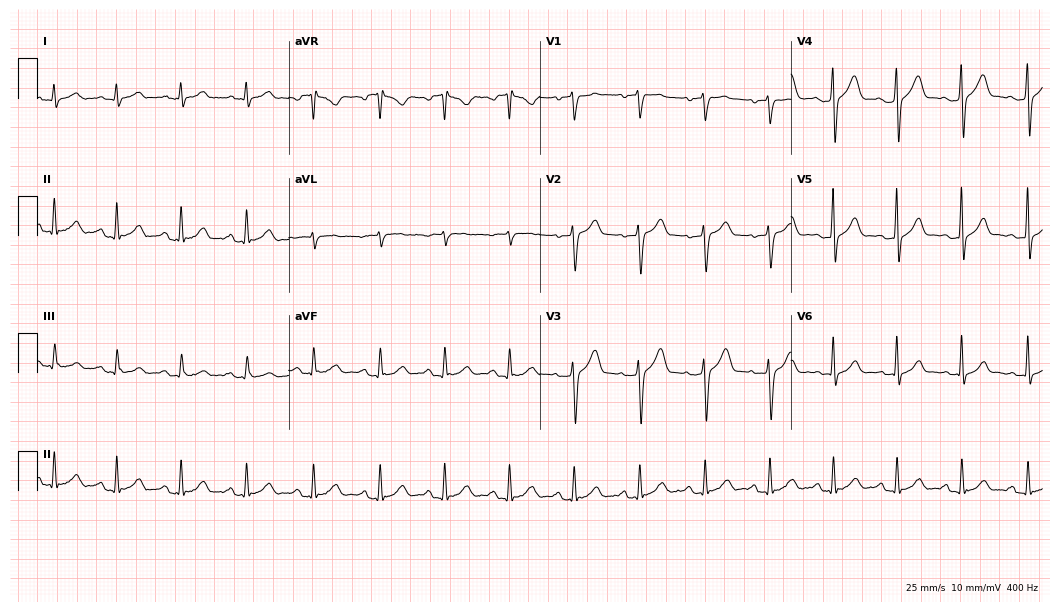
12-lead ECG from a man, 39 years old (10.2-second recording at 400 Hz). Recorded interpretation: within normal limits.